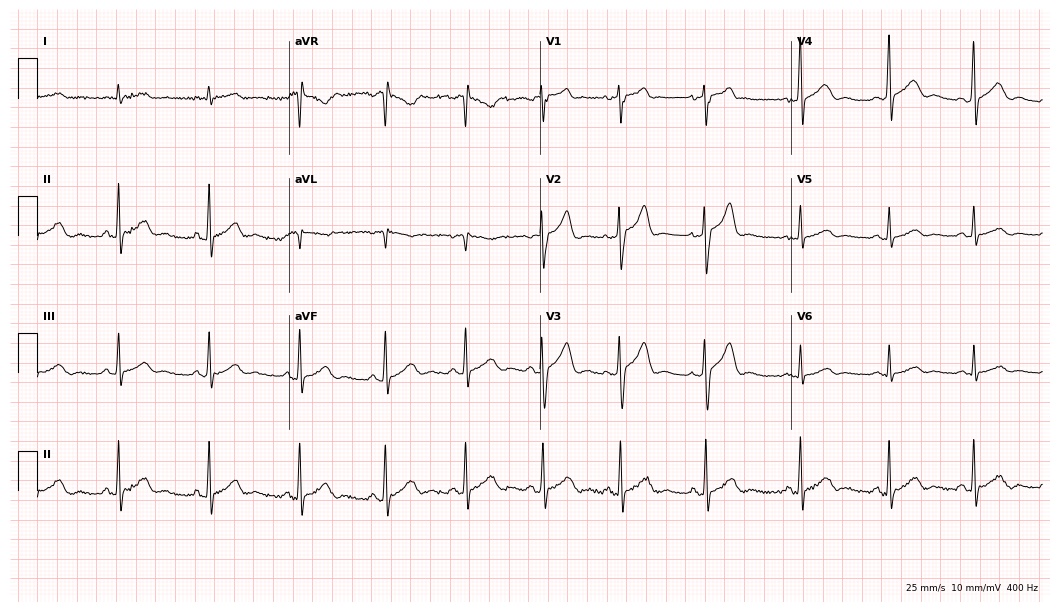
12-lead ECG from a 32-year-old man (10.2-second recording at 400 Hz). Recorded interpretation: within normal limits.